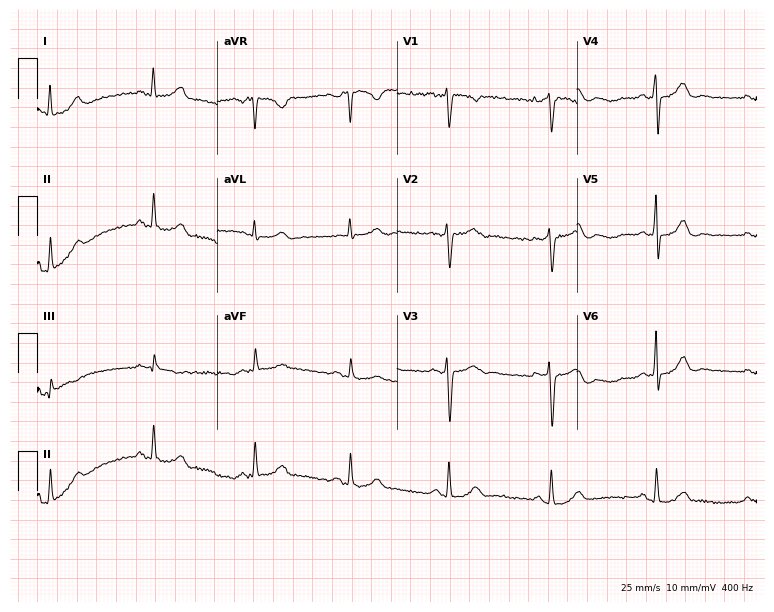
Electrocardiogram, a female patient, 44 years old. Of the six screened findings (first-degree AV block, right bundle branch block, left bundle branch block, sinus bradycardia, atrial fibrillation, sinus tachycardia), none is recorded. Other findings, if any, are not listed.